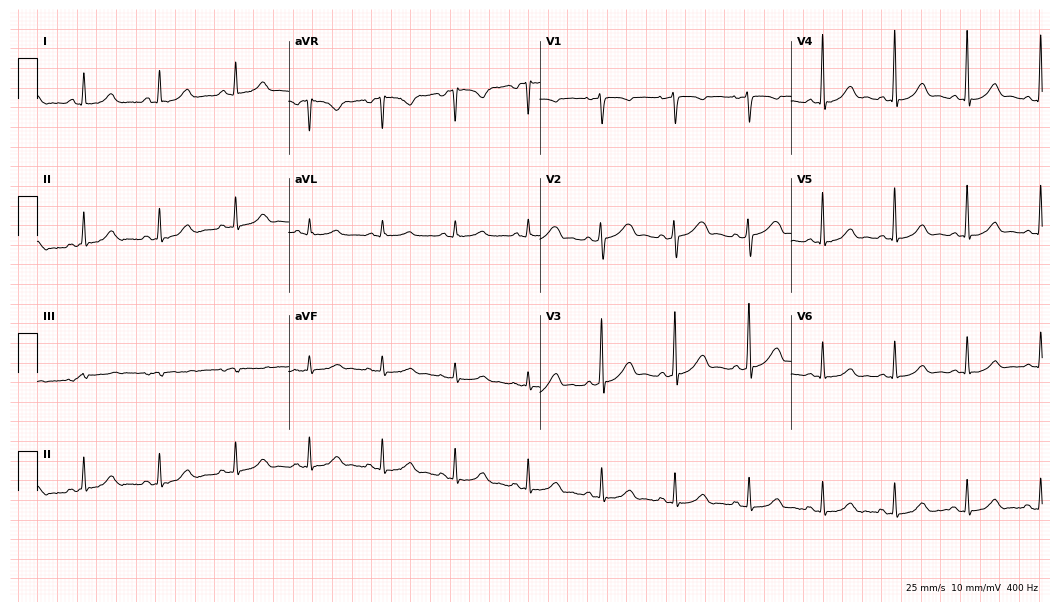
12-lead ECG from a female patient, 33 years old. Labelled as a normal ECG.